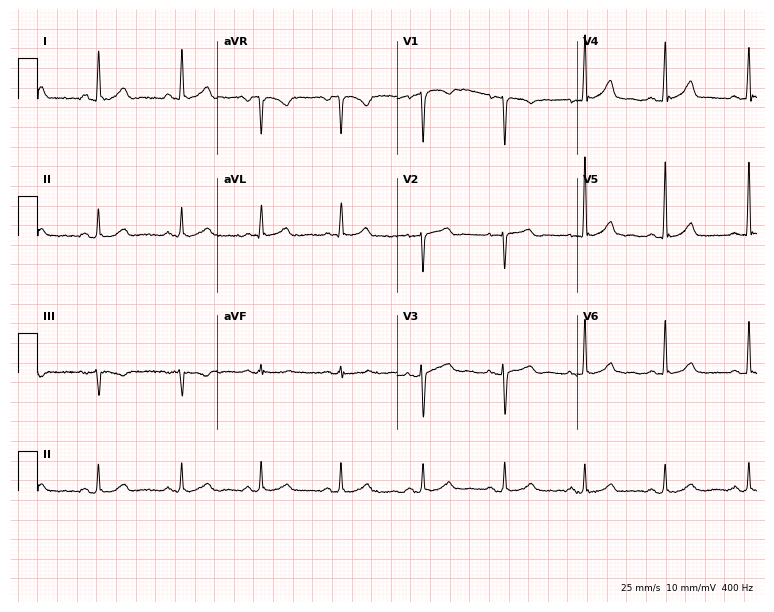
Resting 12-lead electrocardiogram. Patient: a 45-year-old female. Read as a normal ECG.